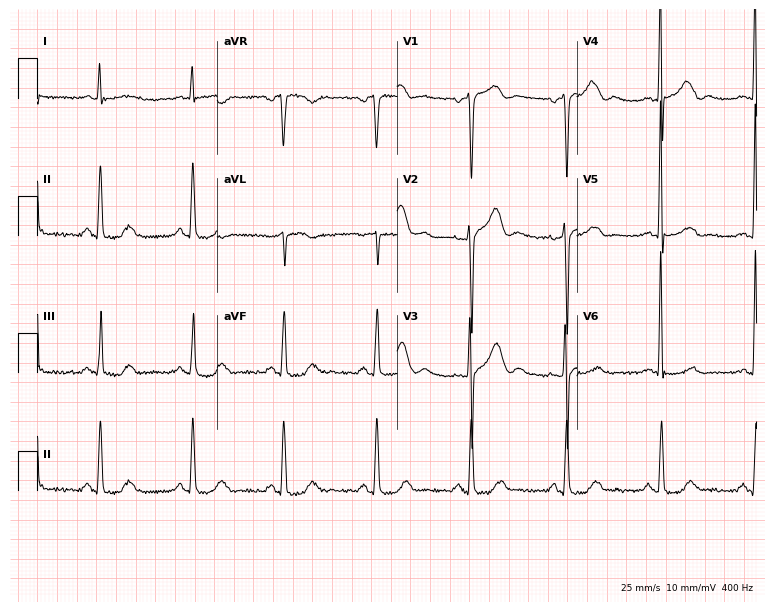
Electrocardiogram (7.3-second recording at 400 Hz), a male, 85 years old. Overall reading on record: normal ECG.